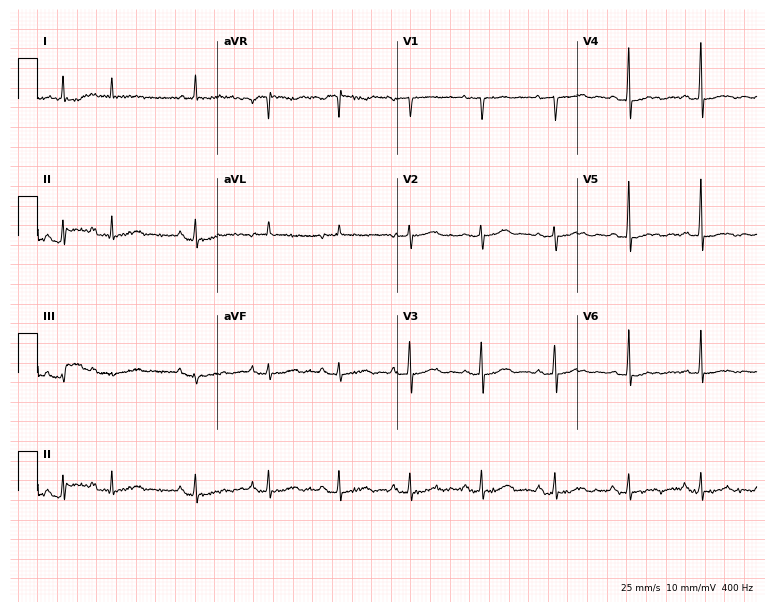
Electrocardiogram (7.3-second recording at 400 Hz), an 80-year-old woman. Of the six screened findings (first-degree AV block, right bundle branch block, left bundle branch block, sinus bradycardia, atrial fibrillation, sinus tachycardia), none is recorded. Other findings, if any, are not listed.